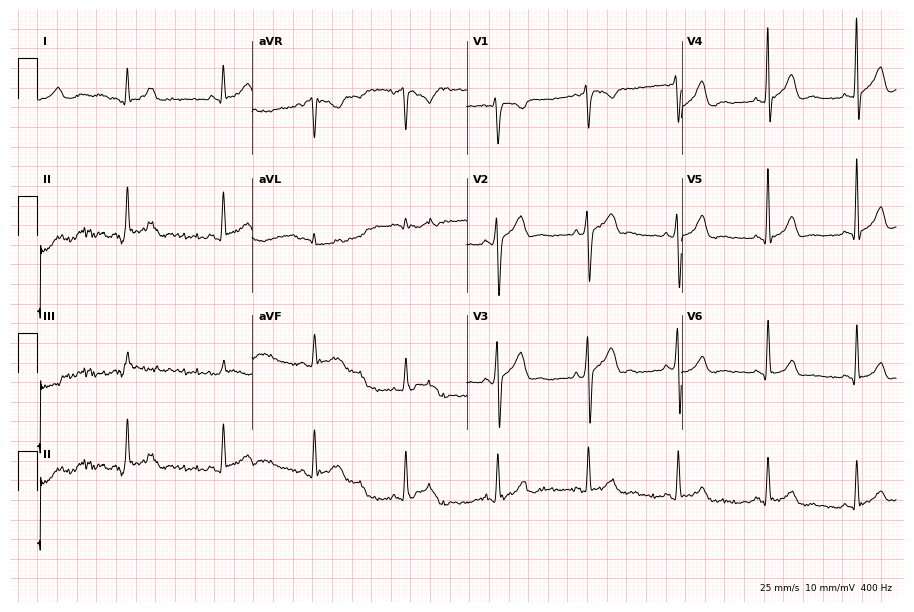
12-lead ECG (8.8-second recording at 400 Hz) from a man, 31 years old. Labelled as a normal ECG.